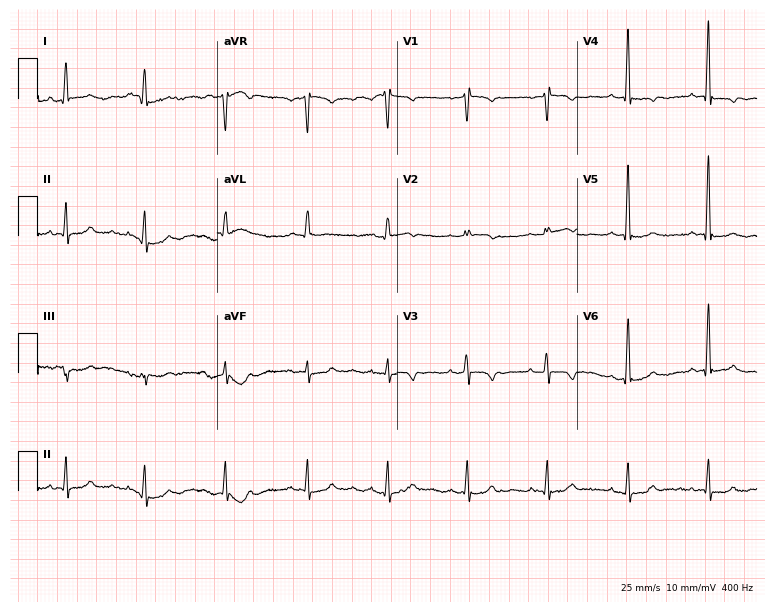
Electrocardiogram, a woman, 82 years old. Overall reading on record: normal ECG.